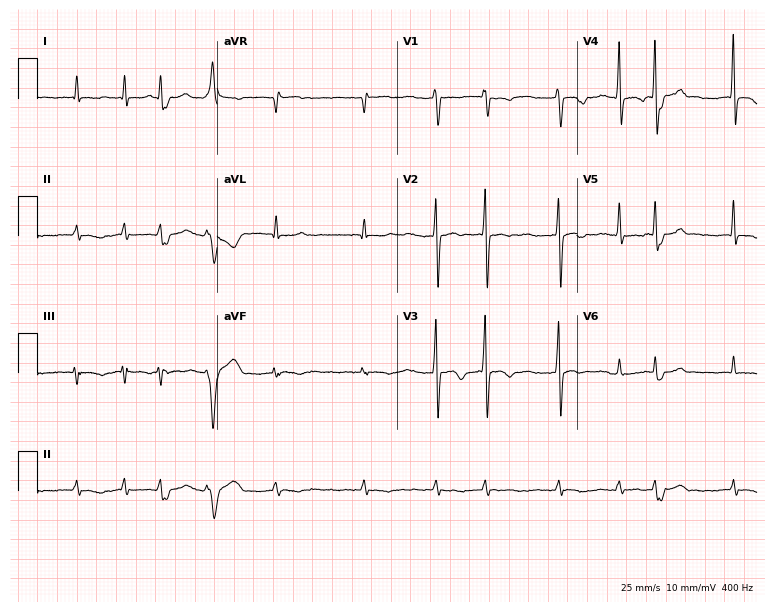
12-lead ECG from a 74-year-old female. Findings include atrial fibrillation.